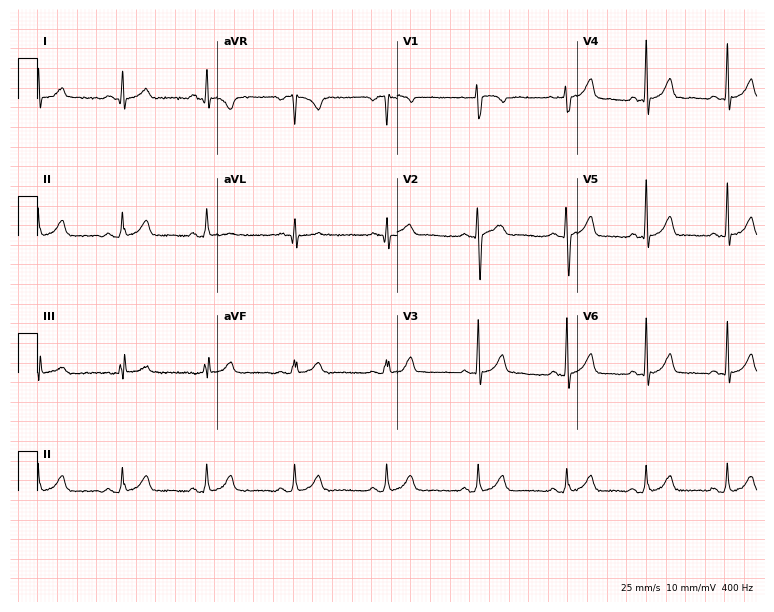
12-lead ECG from a 27-year-old woman. Screened for six findings — first-degree AV block, right bundle branch block (RBBB), left bundle branch block (LBBB), sinus bradycardia, atrial fibrillation (AF), sinus tachycardia — none is recorded. Findings outside these six are not listed.